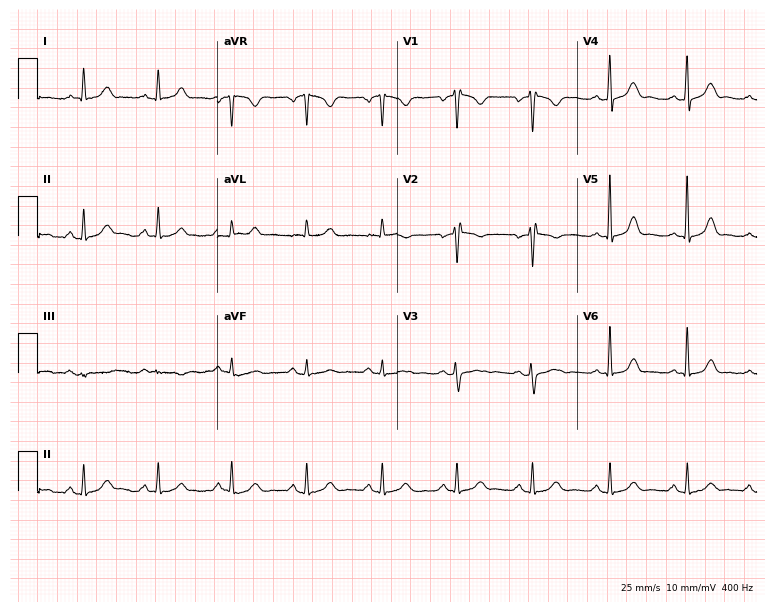
Resting 12-lead electrocardiogram. Patient: a female, 40 years old. None of these six findings is recorded: first-degree AV block, right bundle branch block, left bundle branch block, sinus bradycardia, atrial fibrillation, sinus tachycardia.